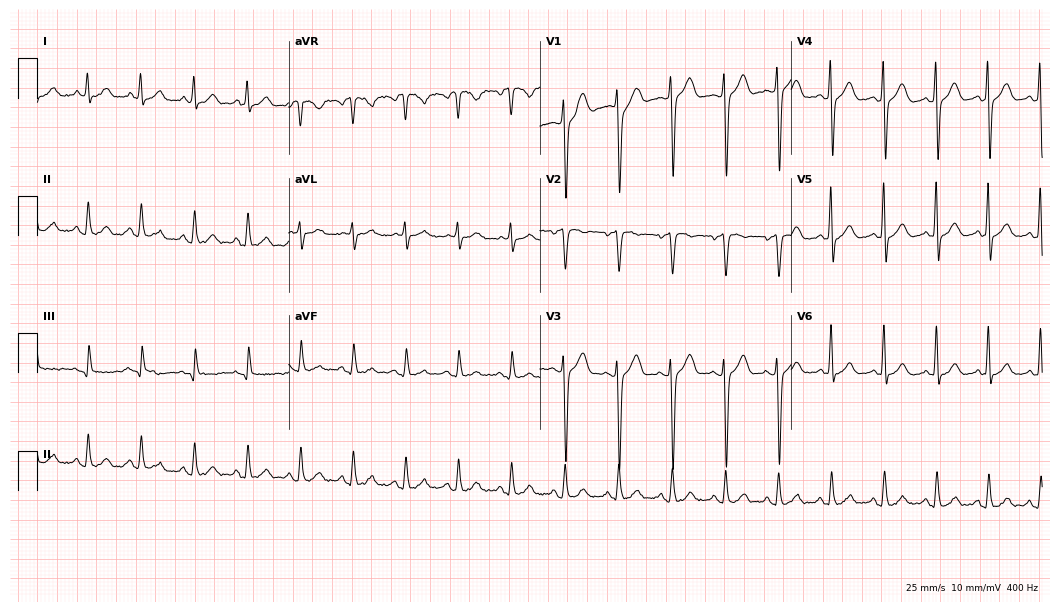
Electrocardiogram, a female patient, 52 years old. Interpretation includes sinus tachycardia (a sinus rate of 100 beats per minute or more).